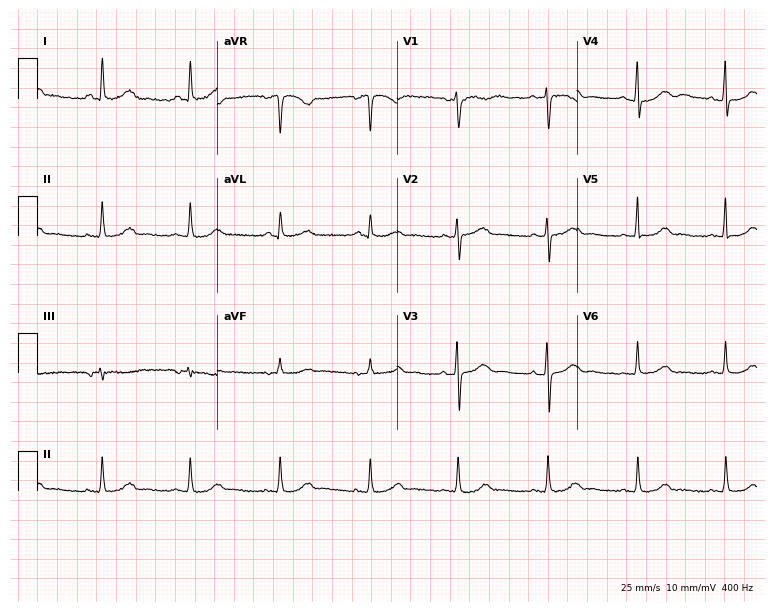
Electrocardiogram (7.3-second recording at 400 Hz), a female patient, 63 years old. Overall reading on record: normal ECG.